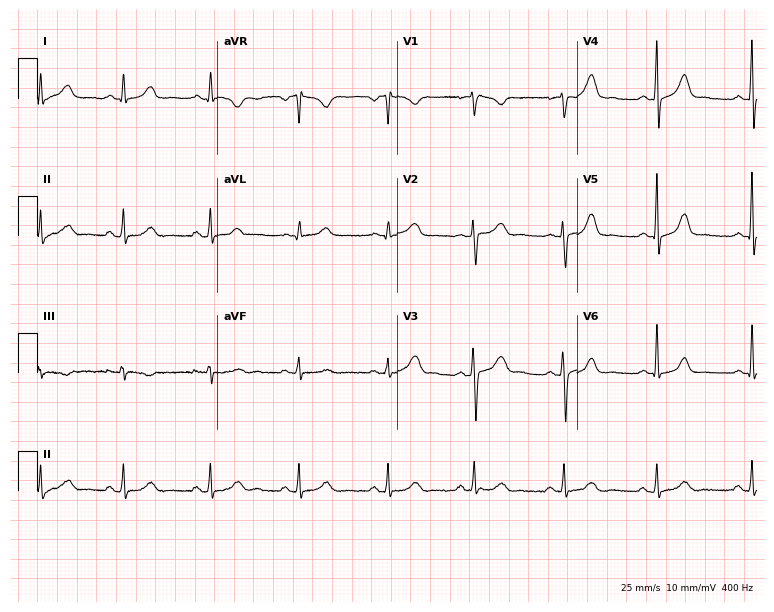
12-lead ECG from a 25-year-old female. Labelled as a normal ECG.